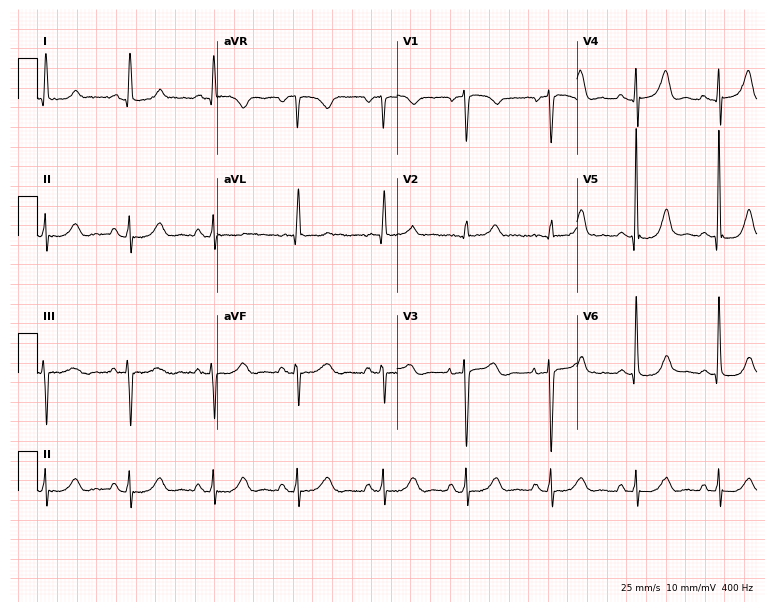
ECG (7.3-second recording at 400 Hz) — a 58-year-old female. Labelled as a normal ECG.